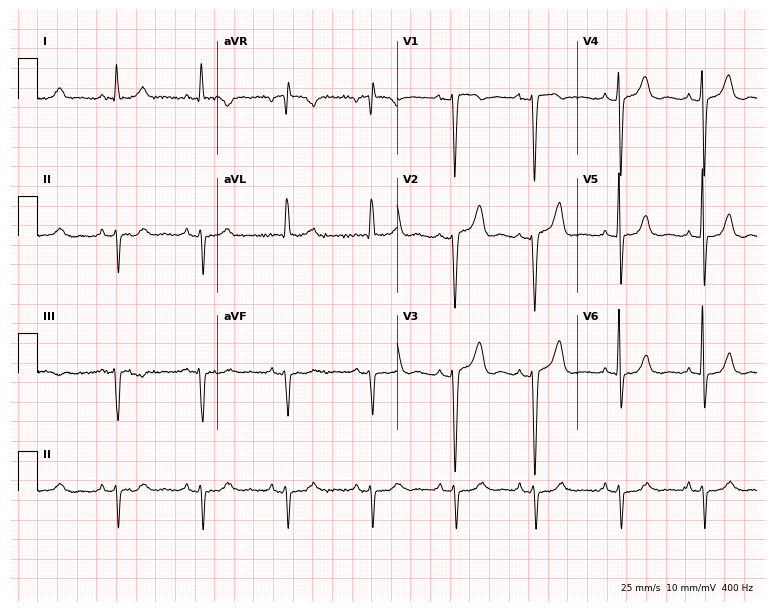
Electrocardiogram, a 29-year-old female patient. Of the six screened findings (first-degree AV block, right bundle branch block, left bundle branch block, sinus bradycardia, atrial fibrillation, sinus tachycardia), none is recorded.